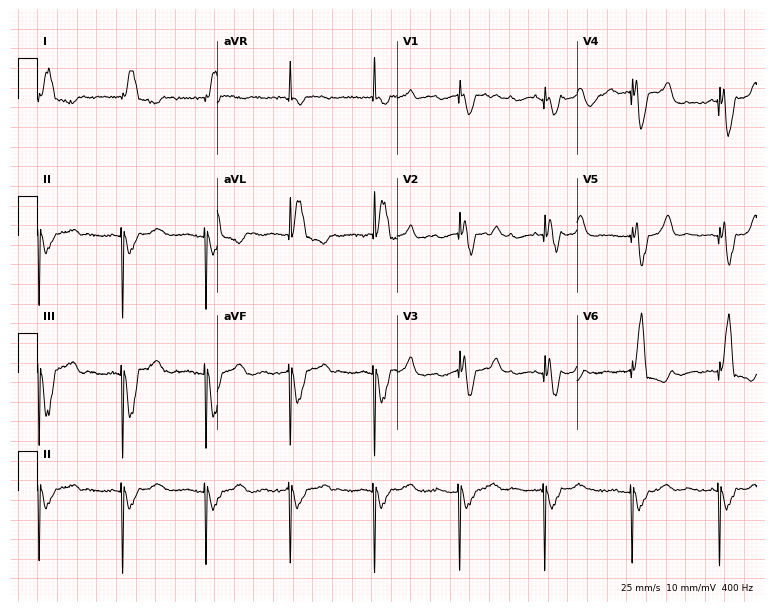
Resting 12-lead electrocardiogram (7.3-second recording at 400 Hz). Patient: a female, 77 years old. None of these six findings is recorded: first-degree AV block, right bundle branch block, left bundle branch block, sinus bradycardia, atrial fibrillation, sinus tachycardia. Only these six findings were labelled.